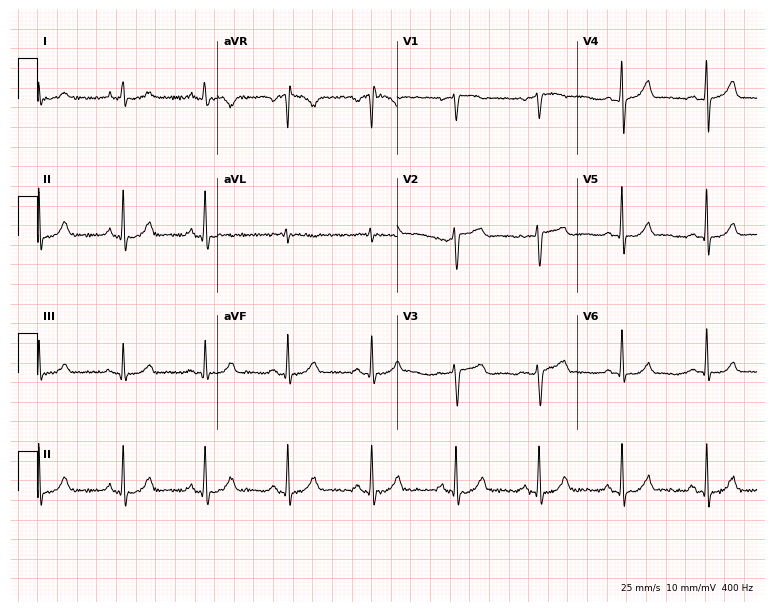
Electrocardiogram, a female, 54 years old. Of the six screened findings (first-degree AV block, right bundle branch block, left bundle branch block, sinus bradycardia, atrial fibrillation, sinus tachycardia), none is recorded. Only these six findings were labelled.